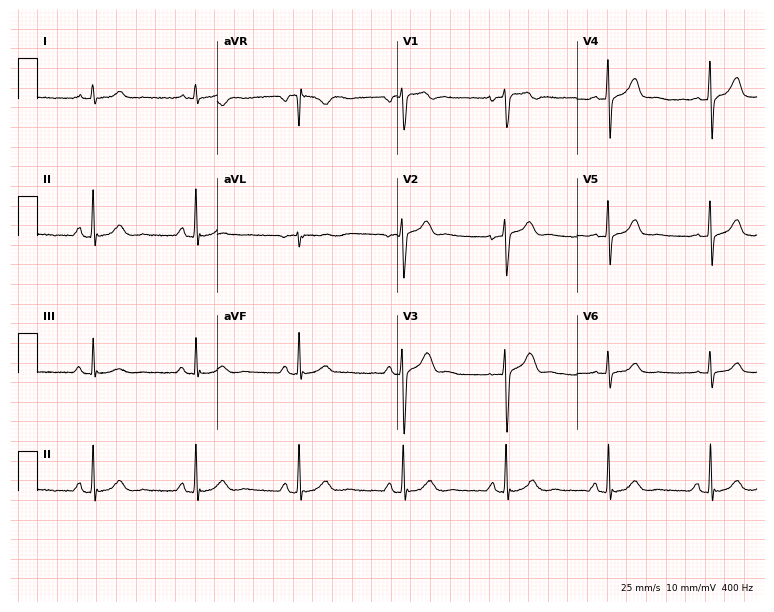
Standard 12-lead ECG recorded from a male patient, 41 years old (7.3-second recording at 400 Hz). None of these six findings is recorded: first-degree AV block, right bundle branch block, left bundle branch block, sinus bradycardia, atrial fibrillation, sinus tachycardia. Findings outside these six are not listed.